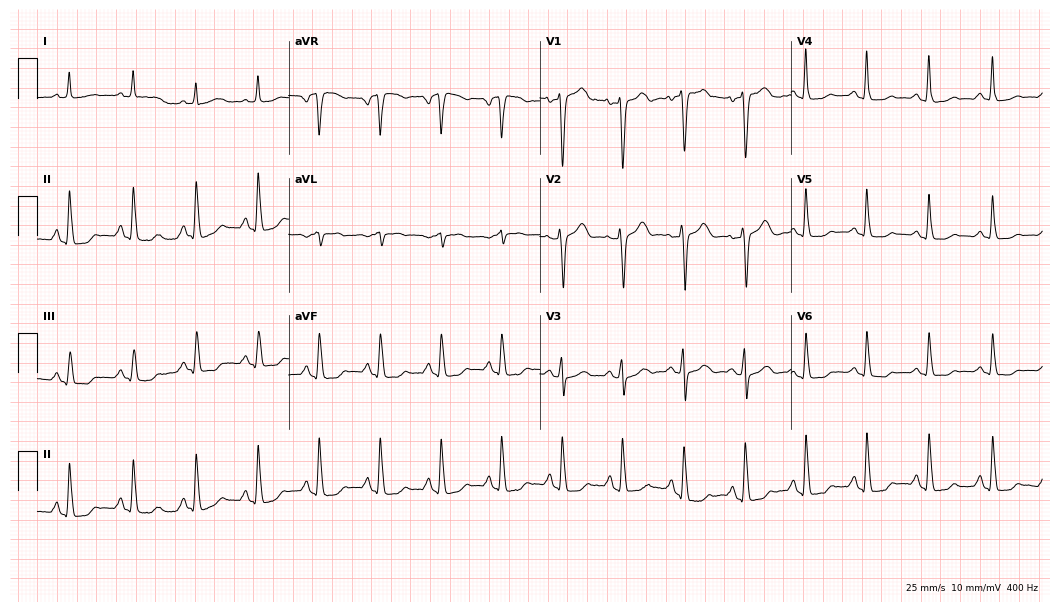
ECG — a woman, 43 years old. Screened for six findings — first-degree AV block, right bundle branch block, left bundle branch block, sinus bradycardia, atrial fibrillation, sinus tachycardia — none is recorded.